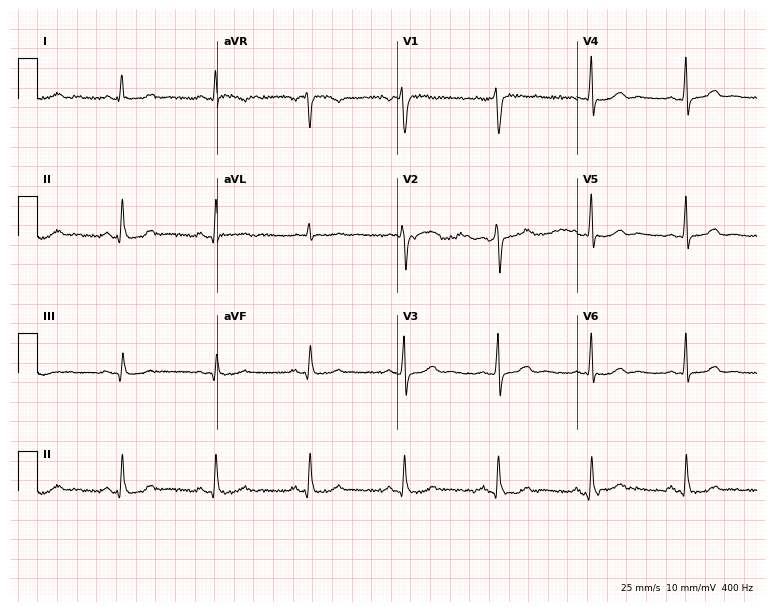
ECG — a 52-year-old female patient. Labelled as a normal ECG.